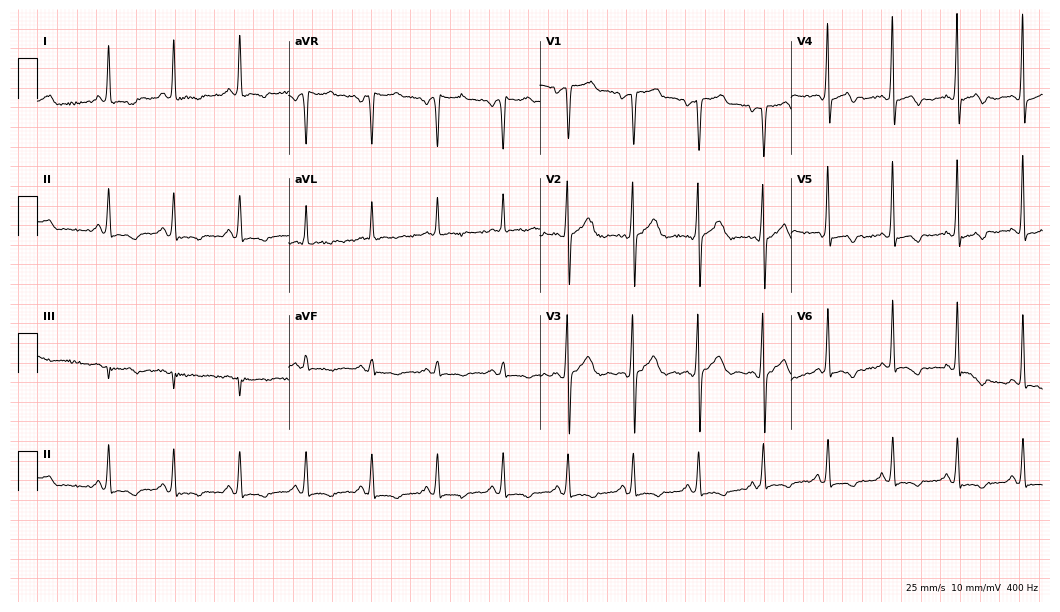
ECG (10.2-second recording at 400 Hz) — a 46-year-old male. Screened for six findings — first-degree AV block, right bundle branch block, left bundle branch block, sinus bradycardia, atrial fibrillation, sinus tachycardia — none is recorded. Only these six findings were labelled.